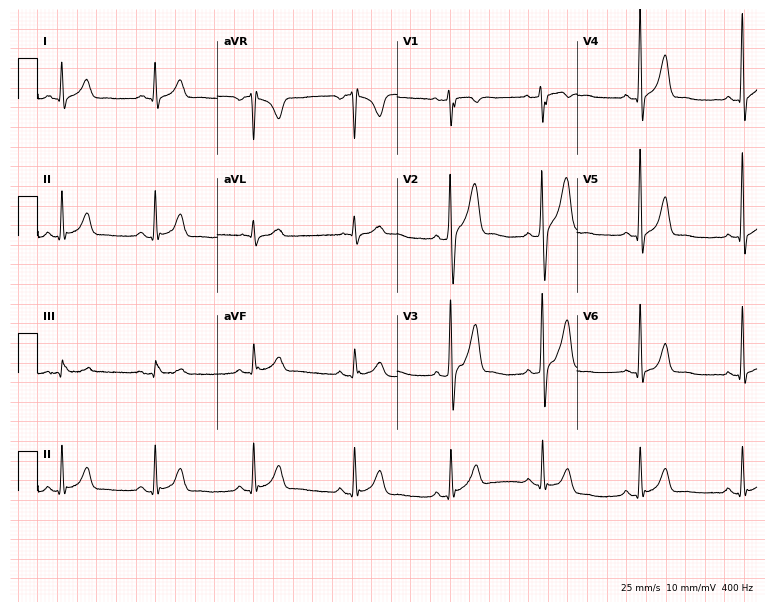
12-lead ECG (7.3-second recording at 400 Hz) from a 38-year-old female. Screened for six findings — first-degree AV block, right bundle branch block (RBBB), left bundle branch block (LBBB), sinus bradycardia, atrial fibrillation (AF), sinus tachycardia — none is recorded.